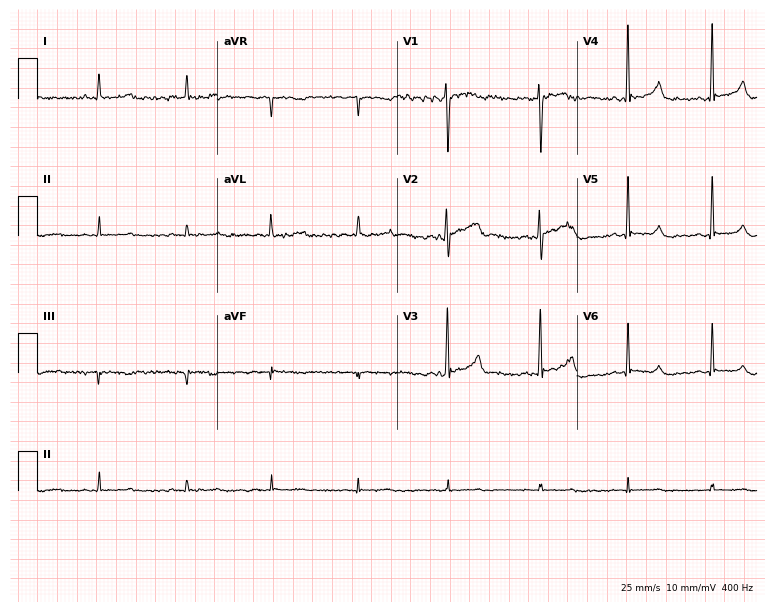
Standard 12-lead ECG recorded from a 29-year-old woman. None of these six findings is recorded: first-degree AV block, right bundle branch block, left bundle branch block, sinus bradycardia, atrial fibrillation, sinus tachycardia.